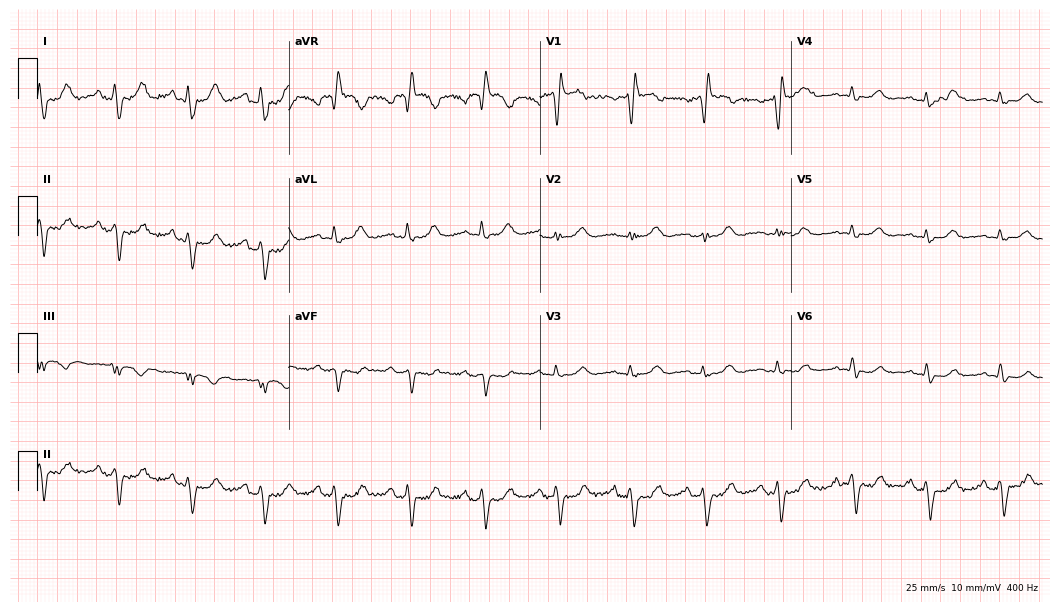
12-lead ECG from an 82-year-old woman (10.2-second recording at 400 Hz). Shows right bundle branch block.